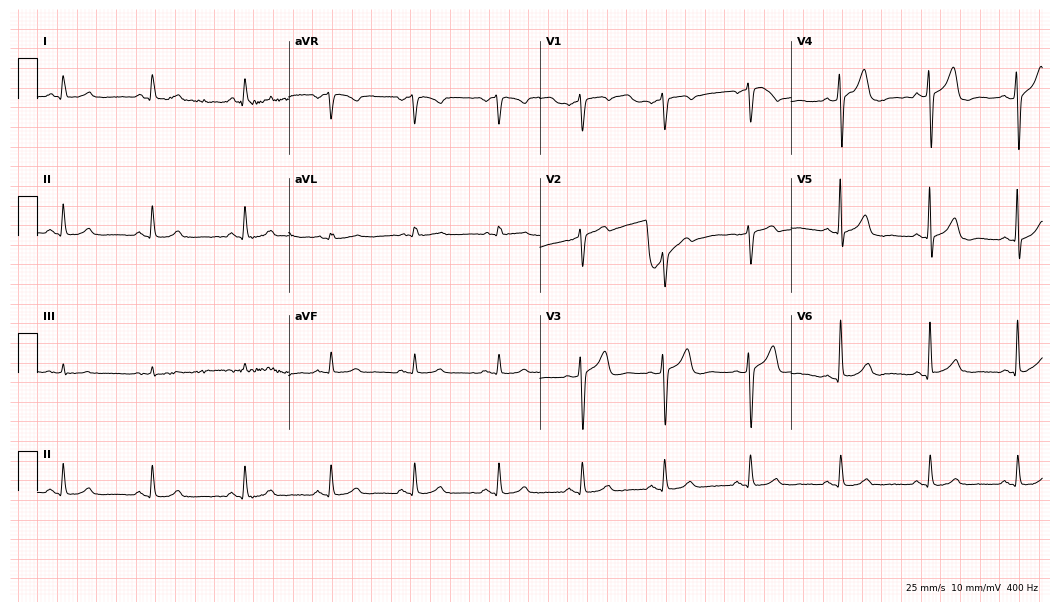
ECG (10.2-second recording at 400 Hz) — a male patient, 48 years old. Labelled as a normal ECG.